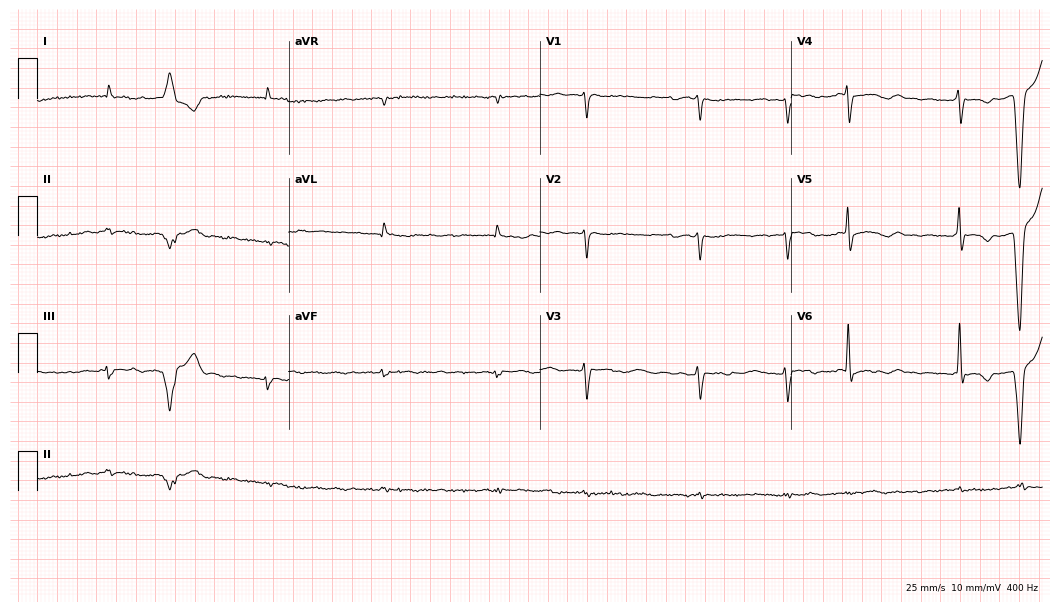
ECG — a female patient, 71 years old. Screened for six findings — first-degree AV block, right bundle branch block, left bundle branch block, sinus bradycardia, atrial fibrillation, sinus tachycardia — none is recorded.